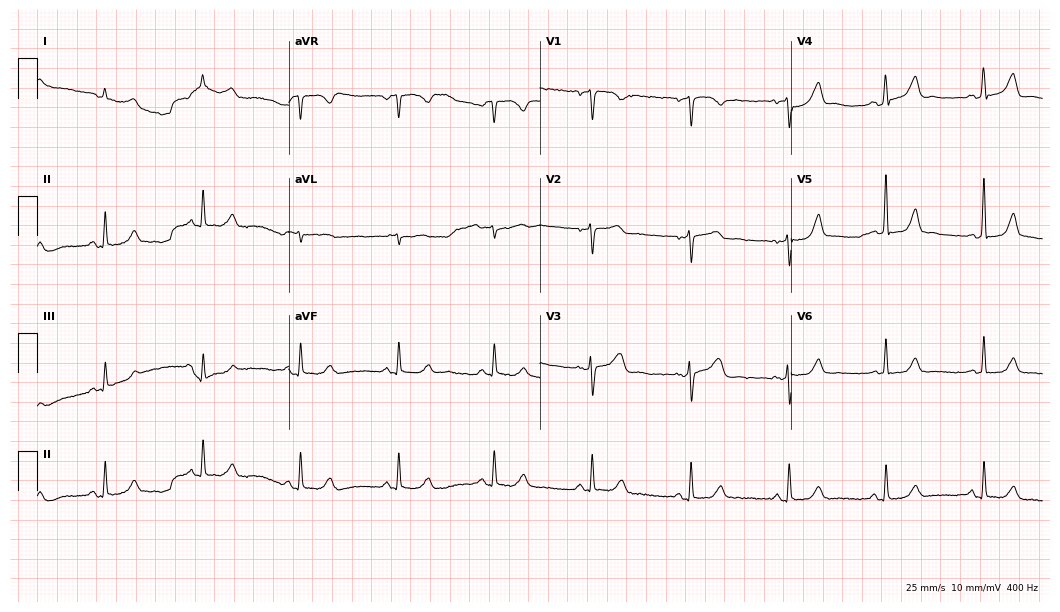
12-lead ECG from a 55-year-old female (10.2-second recording at 400 Hz). Recorded interpretation: within normal limits.